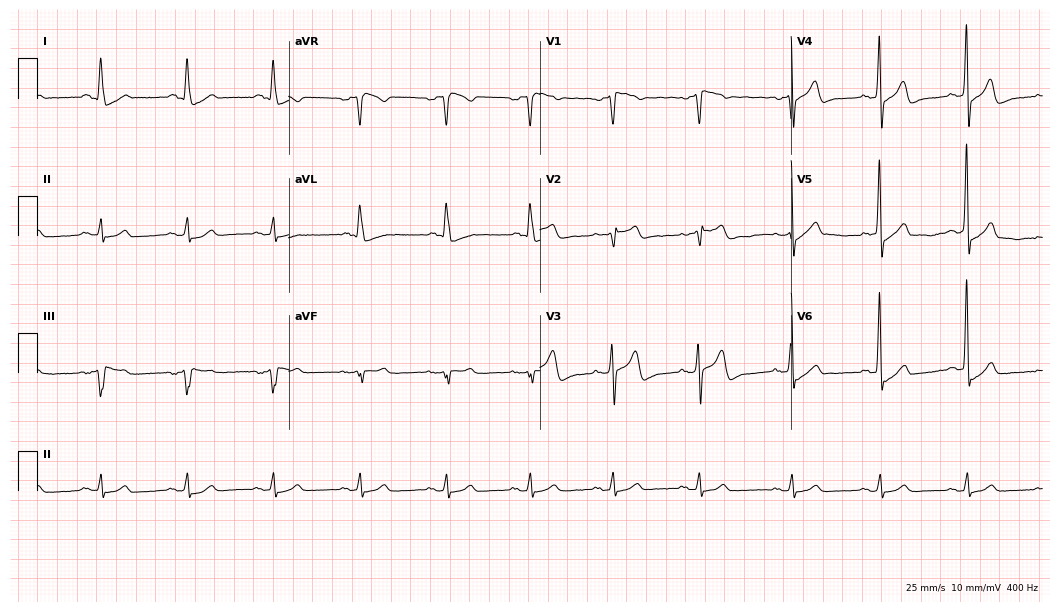
ECG (10.2-second recording at 400 Hz) — a 71-year-old male. Screened for six findings — first-degree AV block, right bundle branch block (RBBB), left bundle branch block (LBBB), sinus bradycardia, atrial fibrillation (AF), sinus tachycardia — none is recorded. Findings outside these six are not listed.